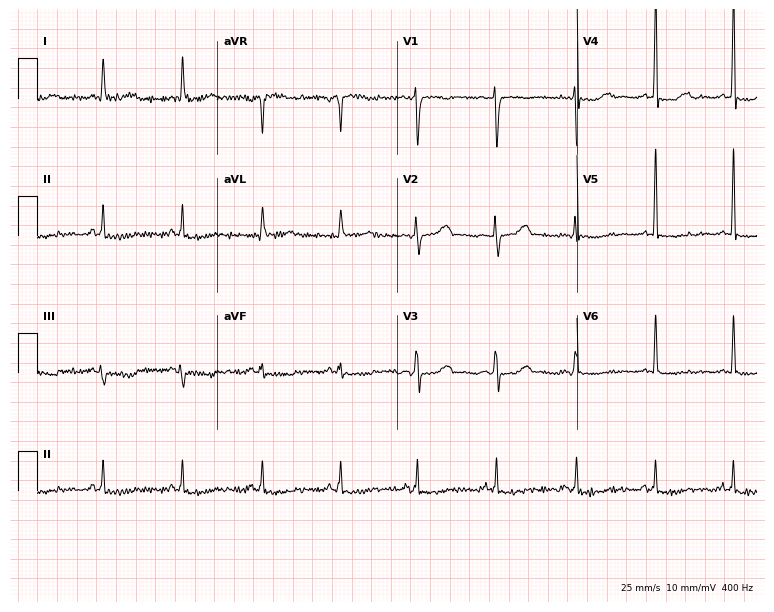
12-lead ECG from a 59-year-old female. Screened for six findings — first-degree AV block, right bundle branch block, left bundle branch block, sinus bradycardia, atrial fibrillation, sinus tachycardia — none is recorded. Other findings, if any, are not listed.